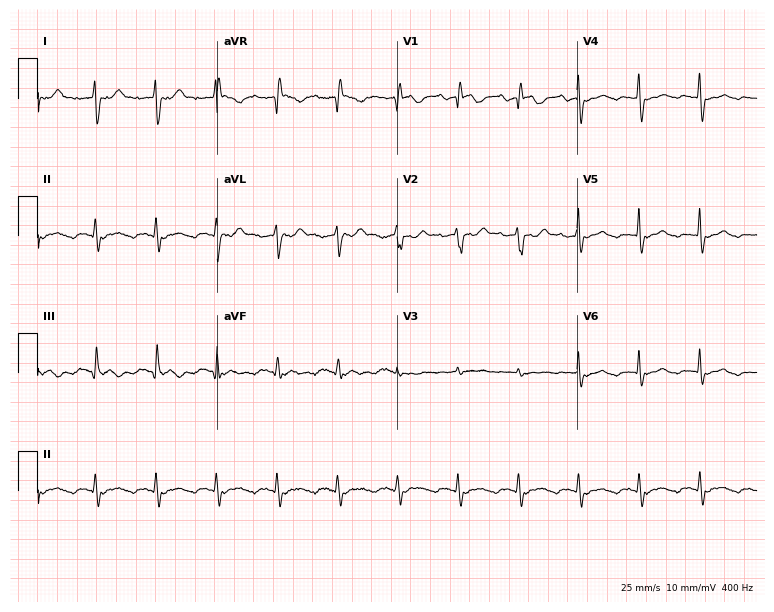
Electrocardiogram, a 45-year-old woman. Of the six screened findings (first-degree AV block, right bundle branch block (RBBB), left bundle branch block (LBBB), sinus bradycardia, atrial fibrillation (AF), sinus tachycardia), none is recorded.